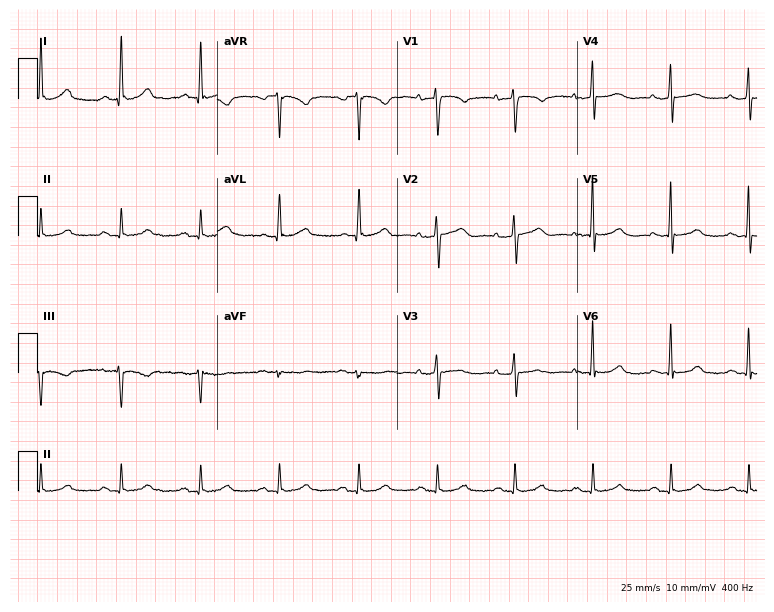
12-lead ECG (7.3-second recording at 400 Hz) from a 77-year-old woman. Screened for six findings — first-degree AV block, right bundle branch block, left bundle branch block, sinus bradycardia, atrial fibrillation, sinus tachycardia — none is recorded. Only these six findings were labelled.